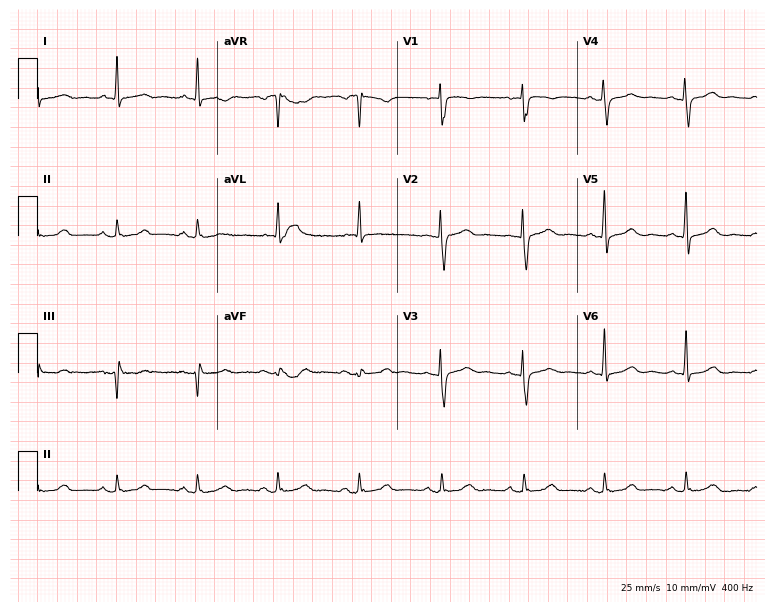
Standard 12-lead ECG recorded from a male, 68 years old (7.3-second recording at 400 Hz). None of these six findings is recorded: first-degree AV block, right bundle branch block (RBBB), left bundle branch block (LBBB), sinus bradycardia, atrial fibrillation (AF), sinus tachycardia.